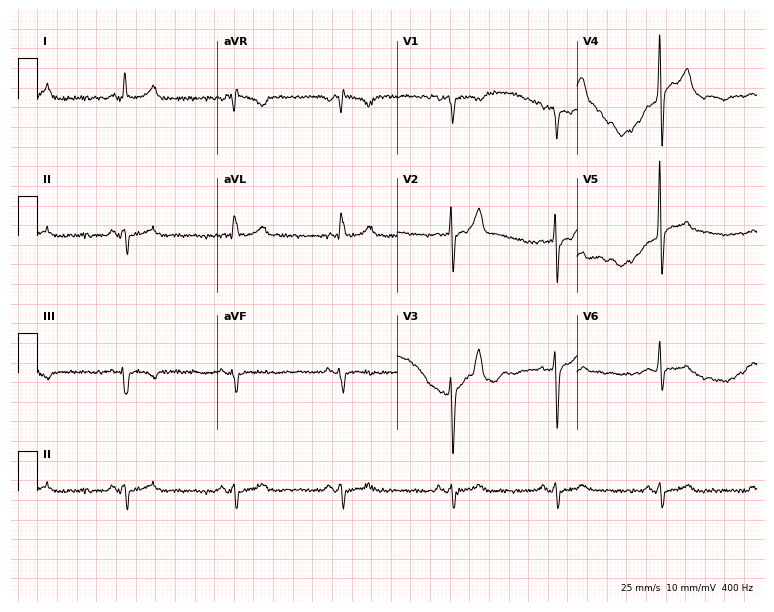
Standard 12-lead ECG recorded from a 77-year-old man. None of these six findings is recorded: first-degree AV block, right bundle branch block, left bundle branch block, sinus bradycardia, atrial fibrillation, sinus tachycardia. Other findings, if any, are not listed.